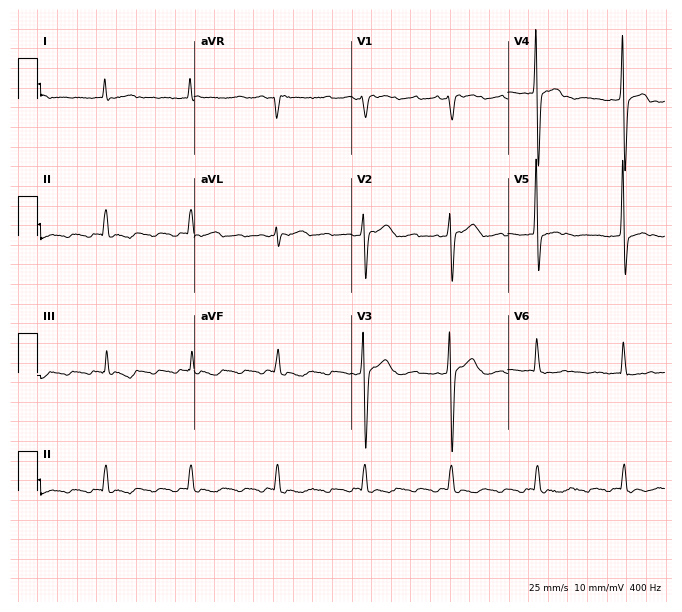
12-lead ECG from a 77-year-old male patient. Screened for six findings — first-degree AV block, right bundle branch block, left bundle branch block, sinus bradycardia, atrial fibrillation, sinus tachycardia — none is recorded. Only these six findings were labelled.